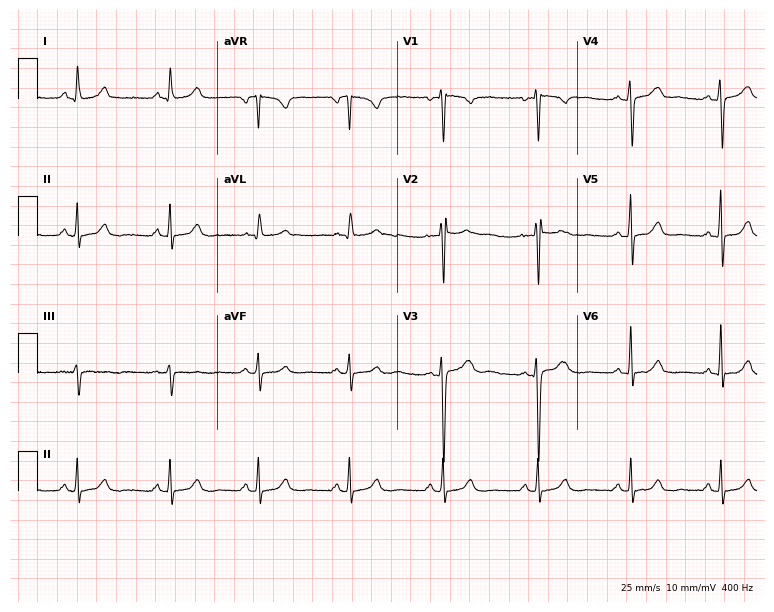
Resting 12-lead electrocardiogram. Patient: a 36-year-old female. None of these six findings is recorded: first-degree AV block, right bundle branch block, left bundle branch block, sinus bradycardia, atrial fibrillation, sinus tachycardia. Findings outside these six are not listed.